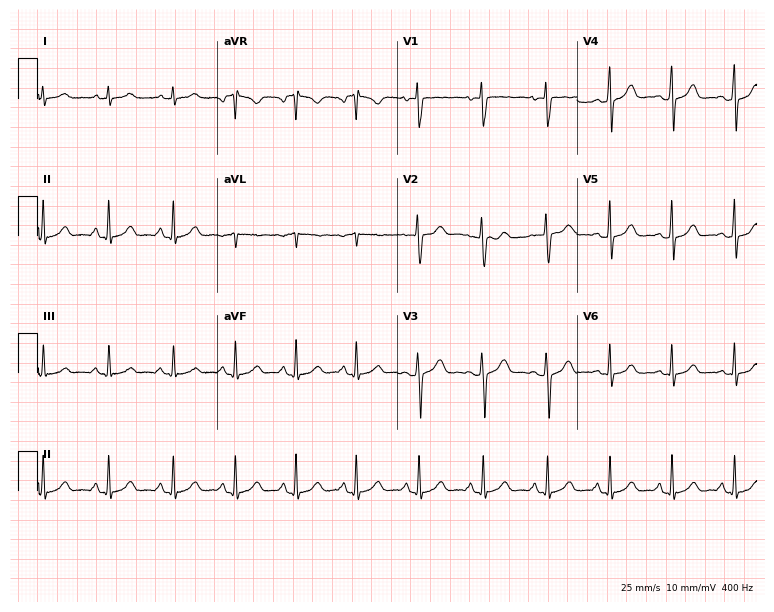
Resting 12-lead electrocardiogram. Patient: a 22-year-old female. Read as a normal ECG.